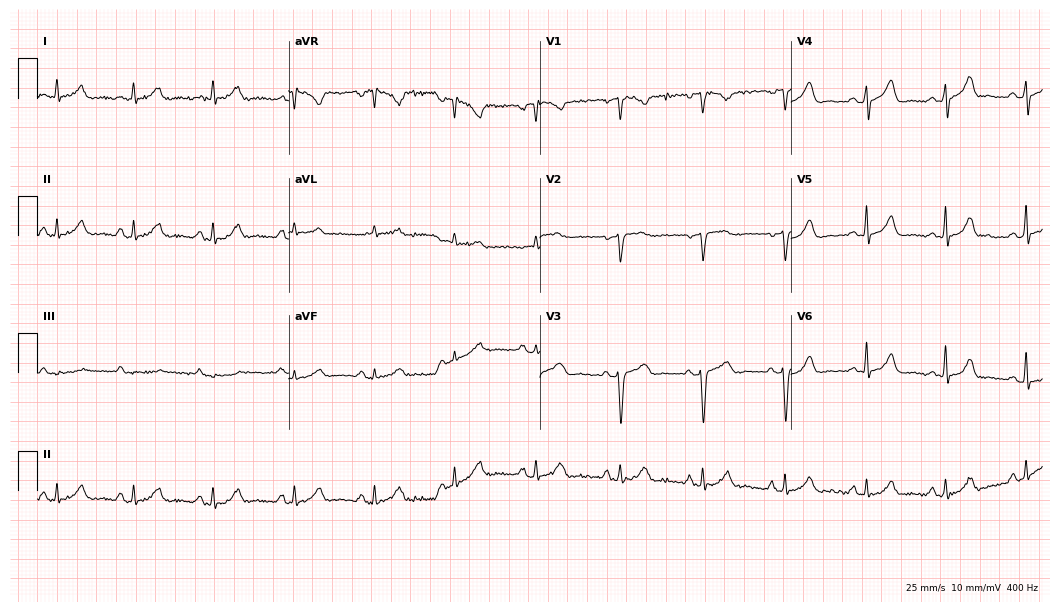
Standard 12-lead ECG recorded from a 43-year-old female. Read as a normal ECG.